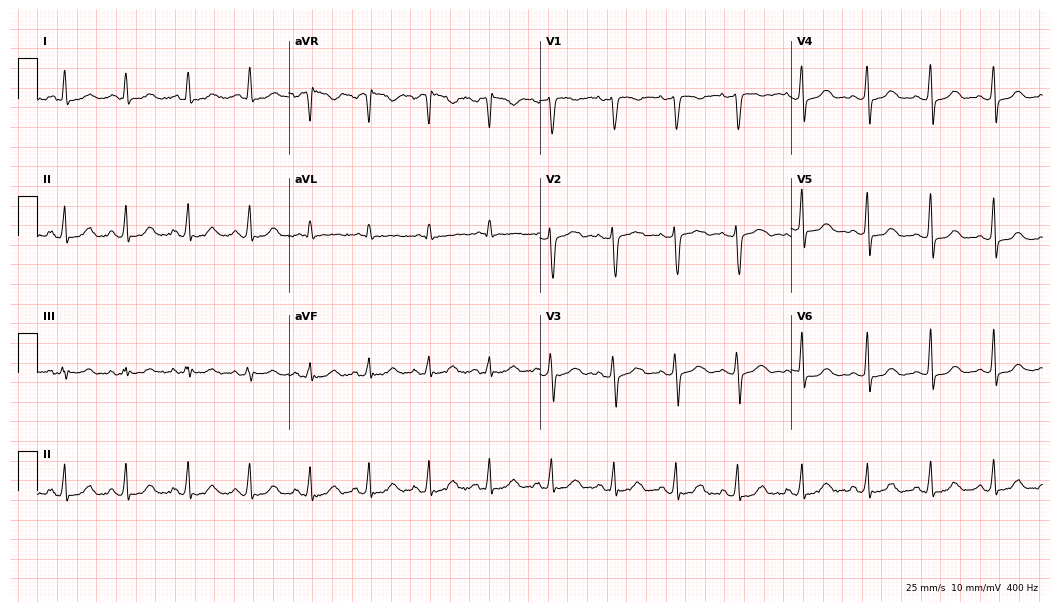
ECG — a woman, 43 years old. Screened for six findings — first-degree AV block, right bundle branch block (RBBB), left bundle branch block (LBBB), sinus bradycardia, atrial fibrillation (AF), sinus tachycardia — none is recorded.